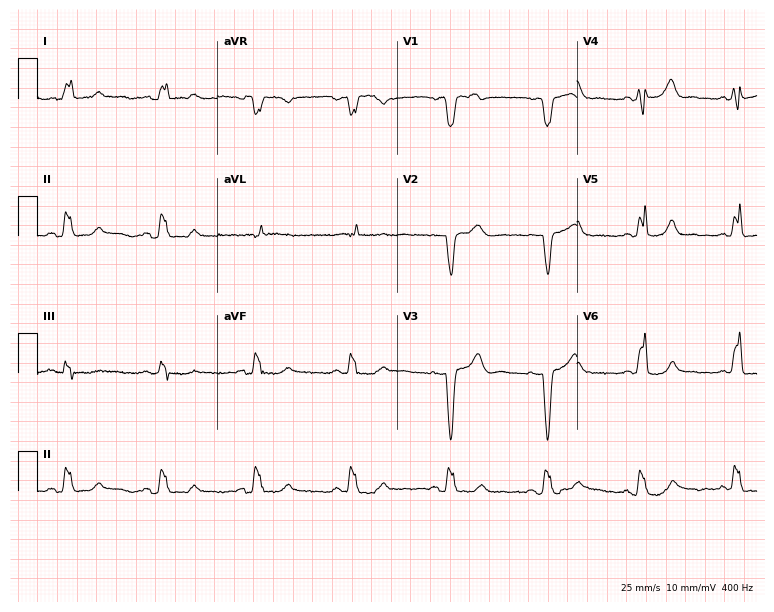
Resting 12-lead electrocardiogram (7.3-second recording at 400 Hz). Patient: a female, 84 years old. The tracing shows left bundle branch block.